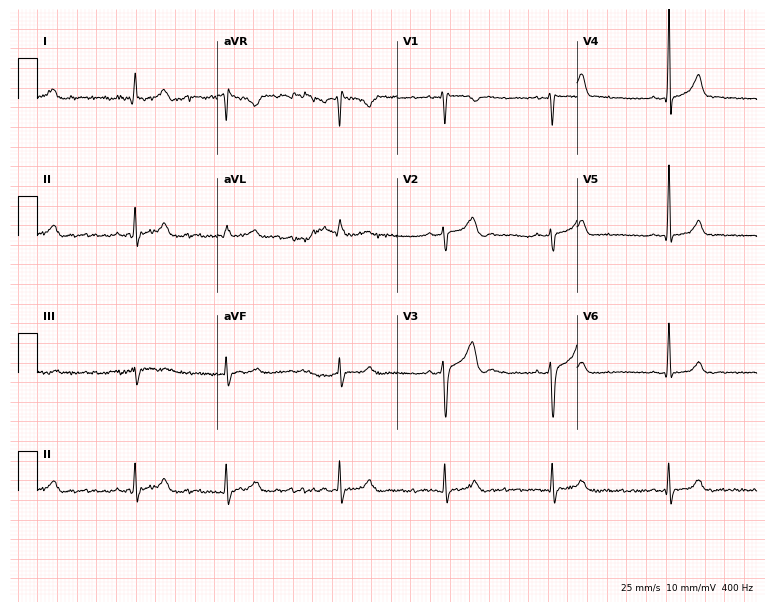
12-lead ECG from a 28-year-old male. No first-degree AV block, right bundle branch block (RBBB), left bundle branch block (LBBB), sinus bradycardia, atrial fibrillation (AF) or sinus tachycardia recorded for this tracing.